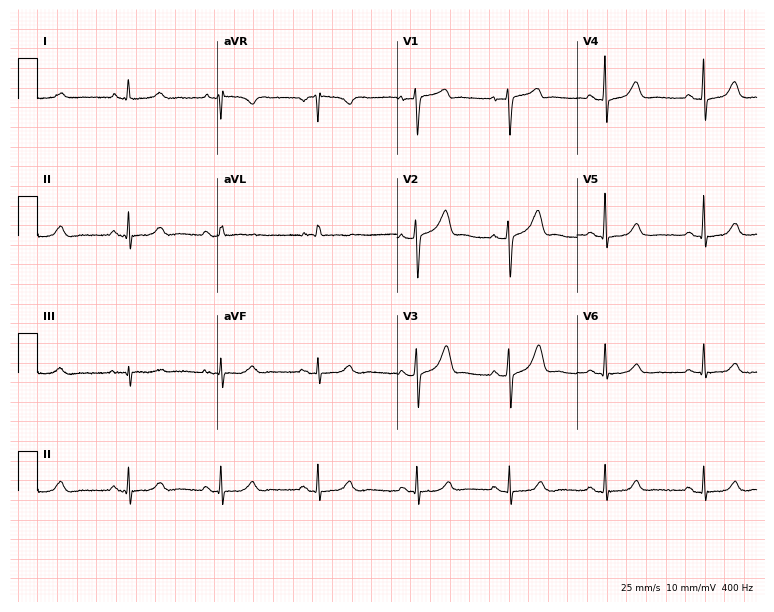
Standard 12-lead ECG recorded from a woman, 58 years old. Read as a normal ECG.